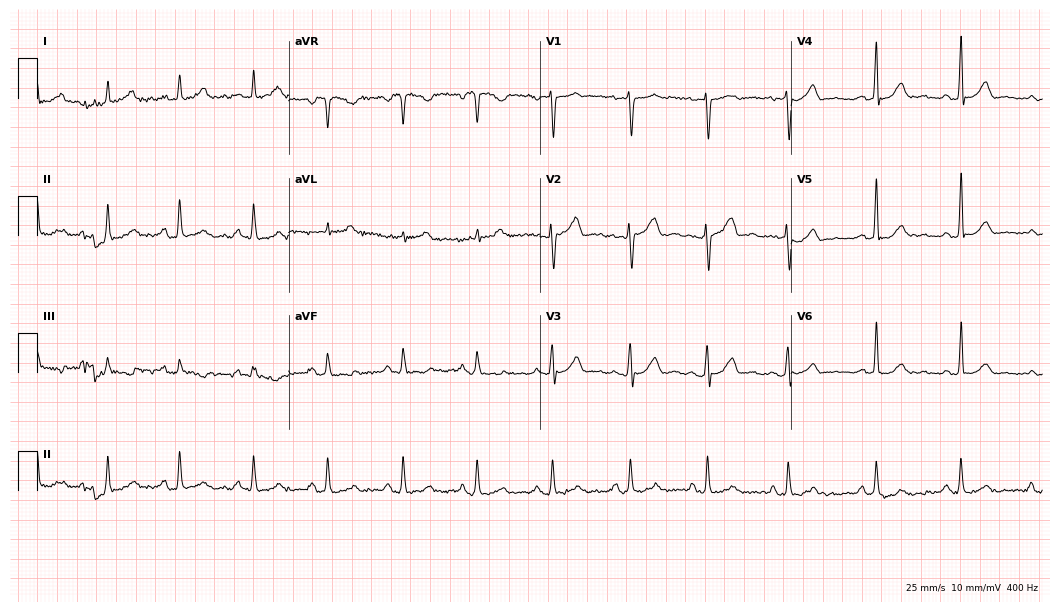
ECG (10.2-second recording at 400 Hz) — a female, 50 years old. Labelled as a normal ECG.